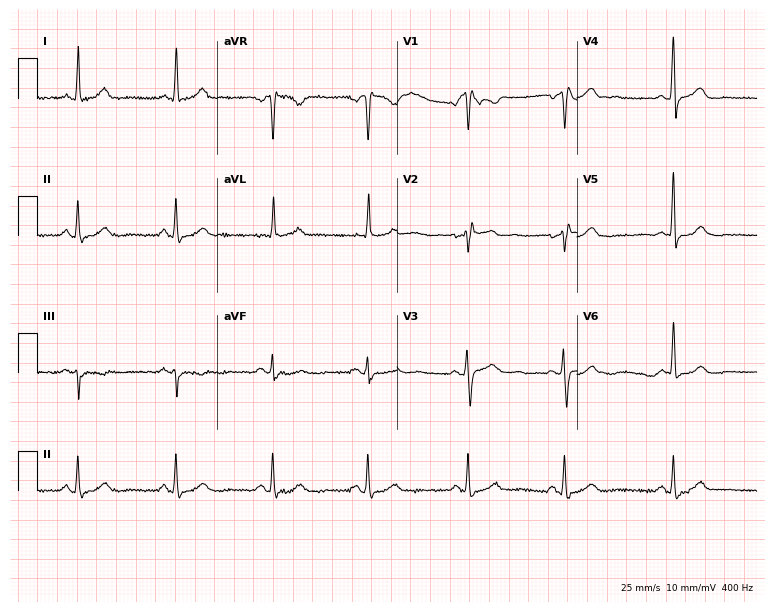
ECG (7.3-second recording at 400 Hz) — a woman, 48 years old. Screened for six findings — first-degree AV block, right bundle branch block, left bundle branch block, sinus bradycardia, atrial fibrillation, sinus tachycardia — none is recorded. Other findings, if any, are not listed.